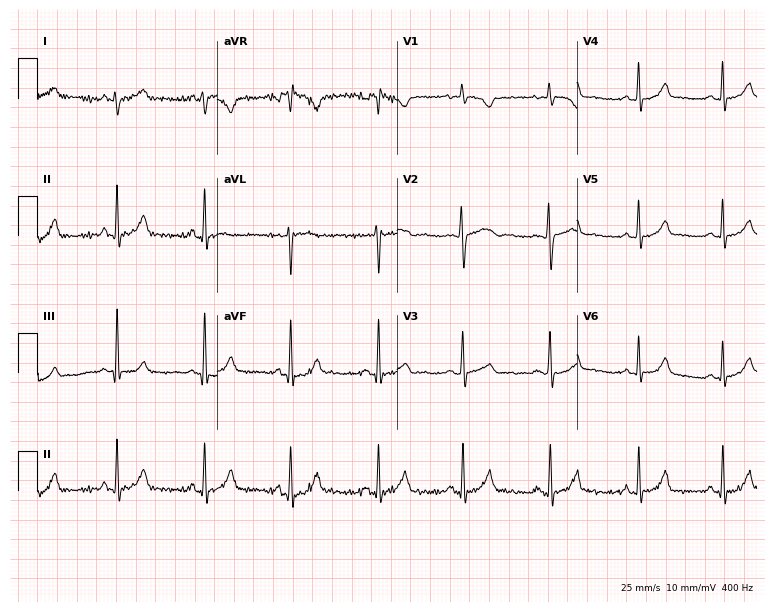
Electrocardiogram, a 20-year-old female. Overall reading on record: normal ECG.